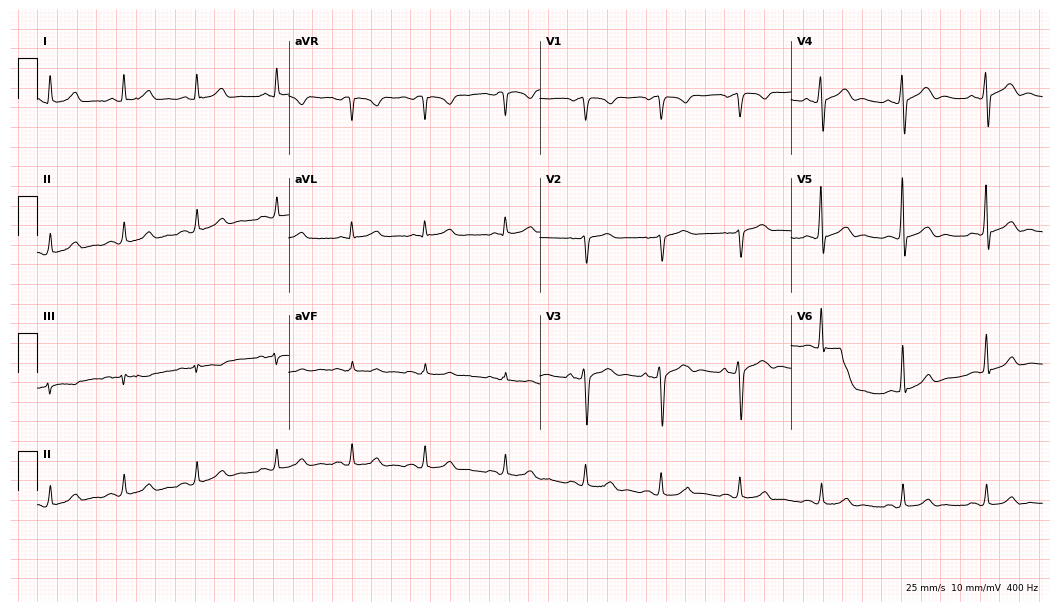
Electrocardiogram, a 57-year-old male patient. Overall reading on record: normal ECG.